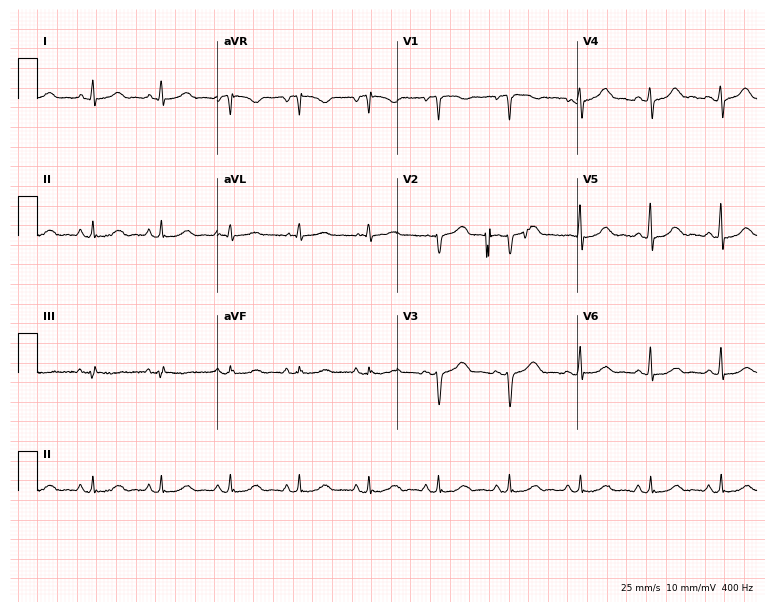
Resting 12-lead electrocardiogram. Patient: a female, 48 years old. Read as a normal ECG.